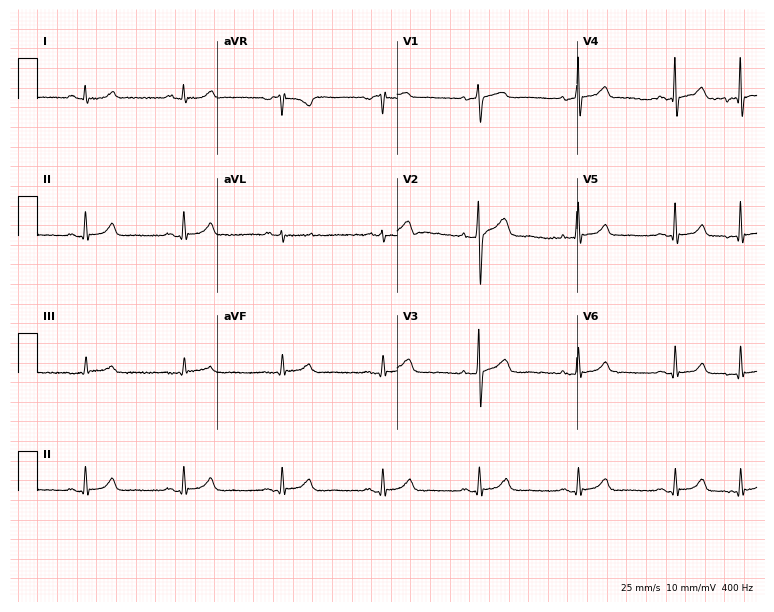
12-lead ECG from a male patient, 56 years old. No first-degree AV block, right bundle branch block, left bundle branch block, sinus bradycardia, atrial fibrillation or sinus tachycardia recorded for this tracing. Other findings, if any, are not listed.